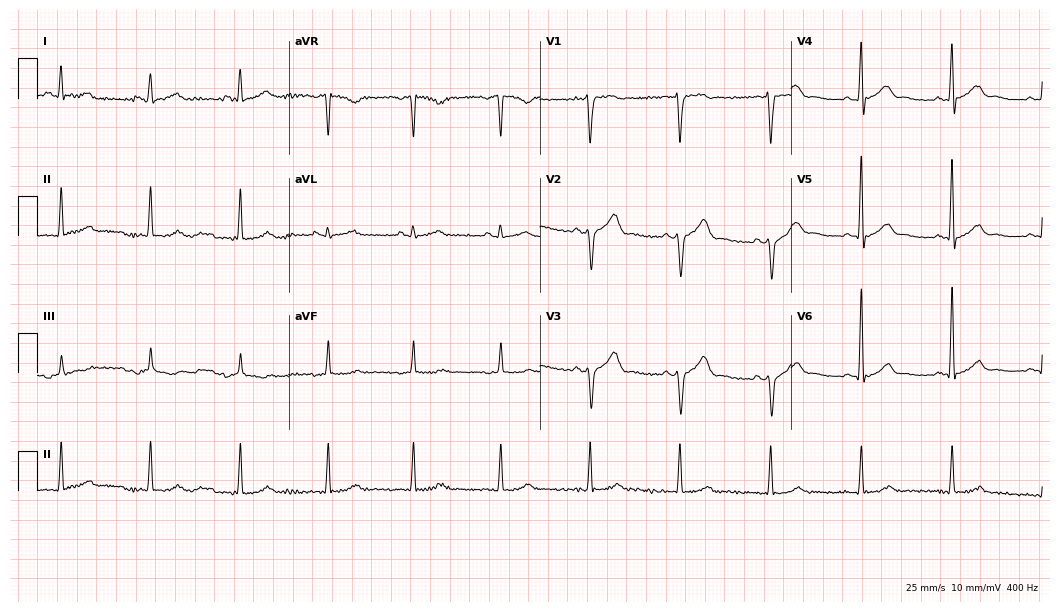
12-lead ECG from a 54-year-old man. Recorded interpretation: within normal limits.